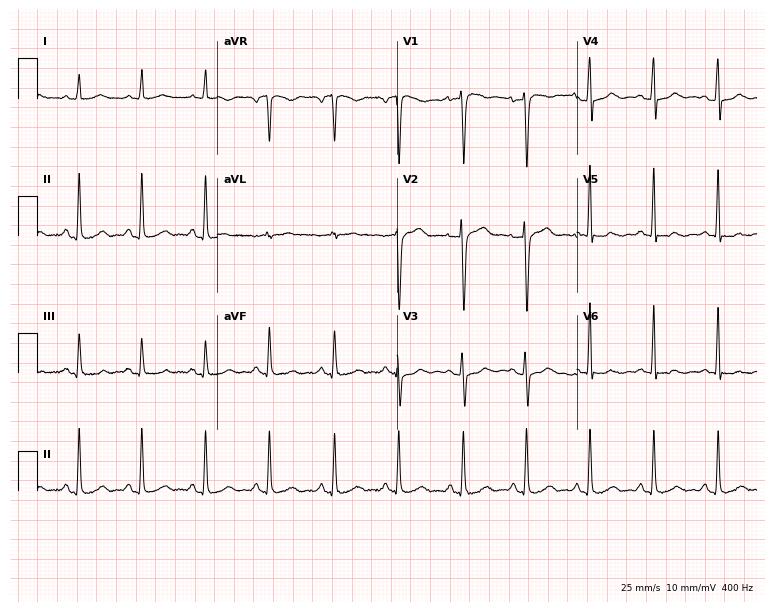
Resting 12-lead electrocardiogram. Patient: a 65-year-old woman. None of these six findings is recorded: first-degree AV block, right bundle branch block (RBBB), left bundle branch block (LBBB), sinus bradycardia, atrial fibrillation (AF), sinus tachycardia.